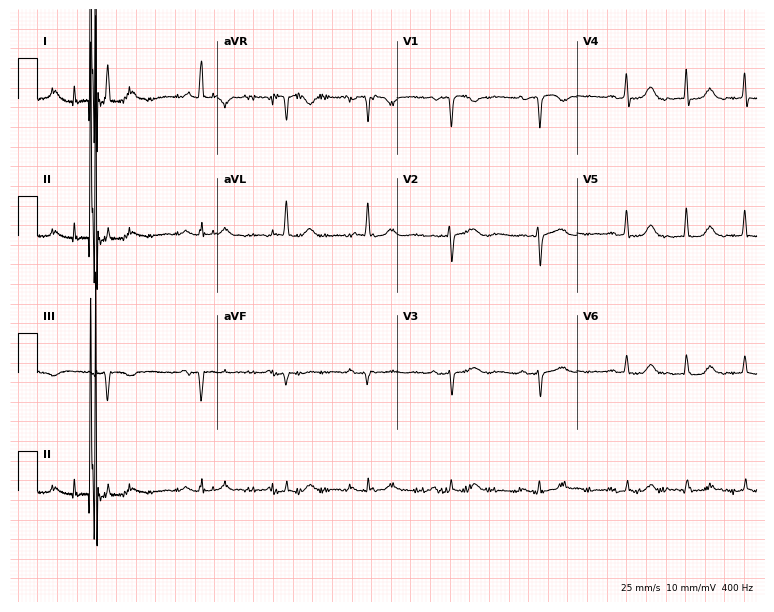
Resting 12-lead electrocardiogram (7.3-second recording at 400 Hz). Patient: a female, 81 years old. None of these six findings is recorded: first-degree AV block, right bundle branch block (RBBB), left bundle branch block (LBBB), sinus bradycardia, atrial fibrillation (AF), sinus tachycardia. Other findings, if any, are not listed.